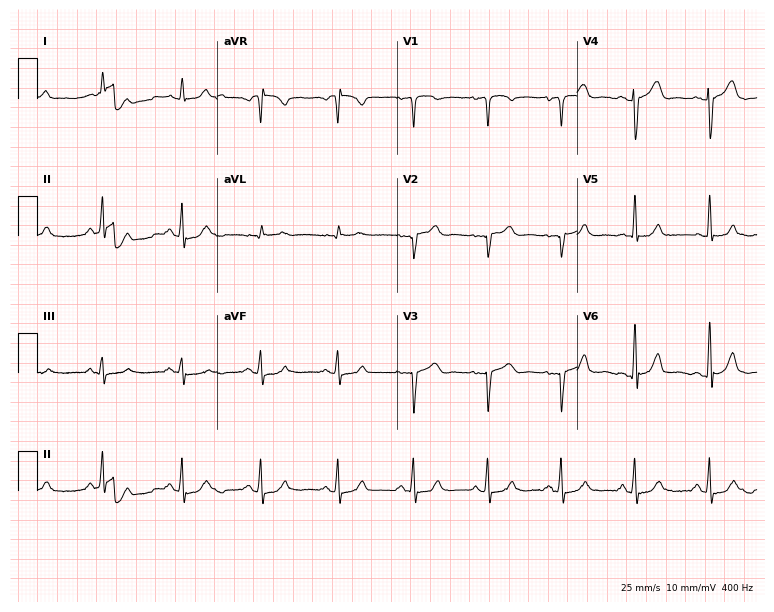
12-lead ECG from a 58-year-old male. Recorded interpretation: within normal limits.